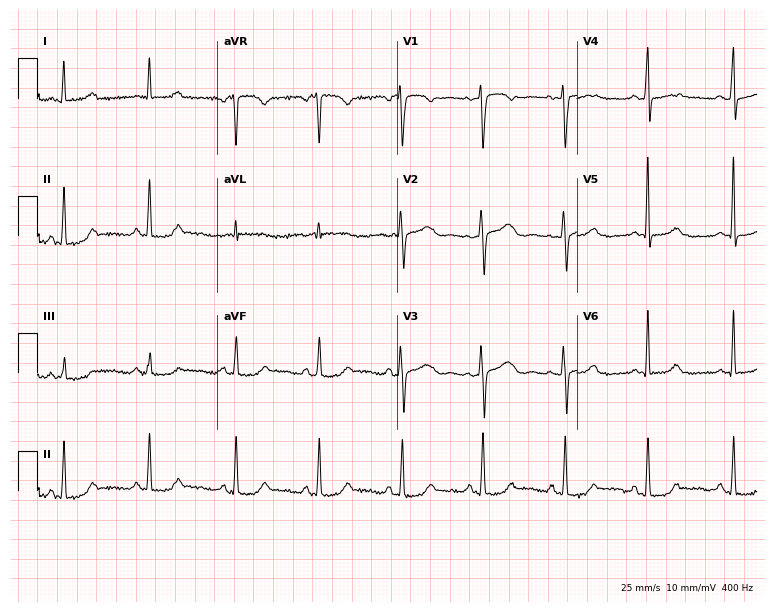
ECG — a 38-year-old female patient. Screened for six findings — first-degree AV block, right bundle branch block, left bundle branch block, sinus bradycardia, atrial fibrillation, sinus tachycardia — none is recorded. Only these six findings were labelled.